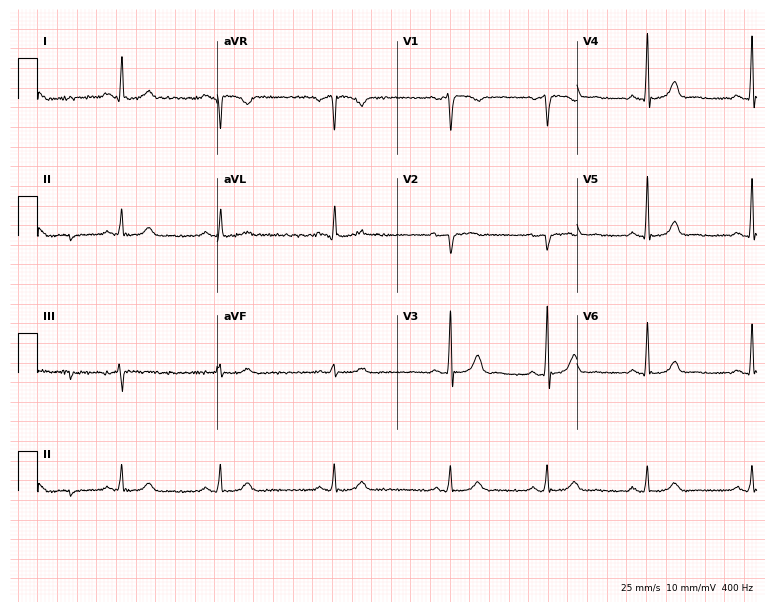
Electrocardiogram, a 35-year-old woman. Overall reading on record: normal ECG.